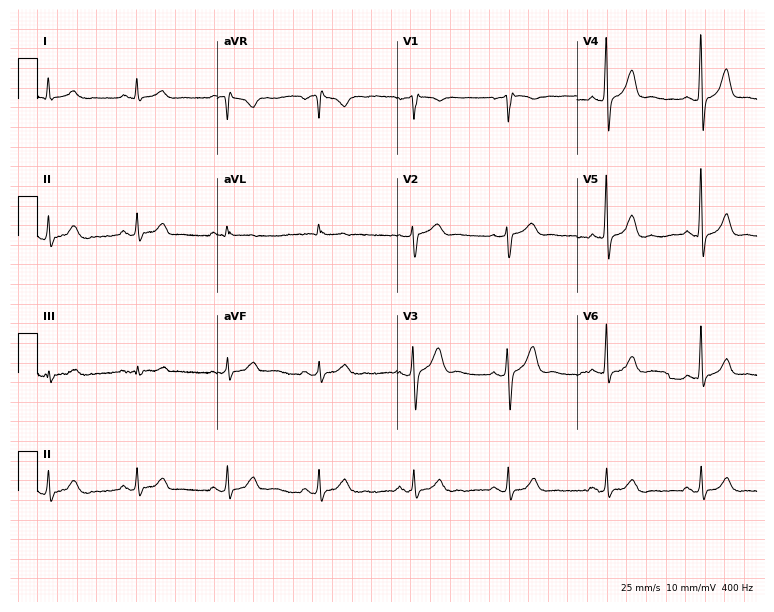
Resting 12-lead electrocardiogram. Patient: a male, 58 years old. Read as a normal ECG.